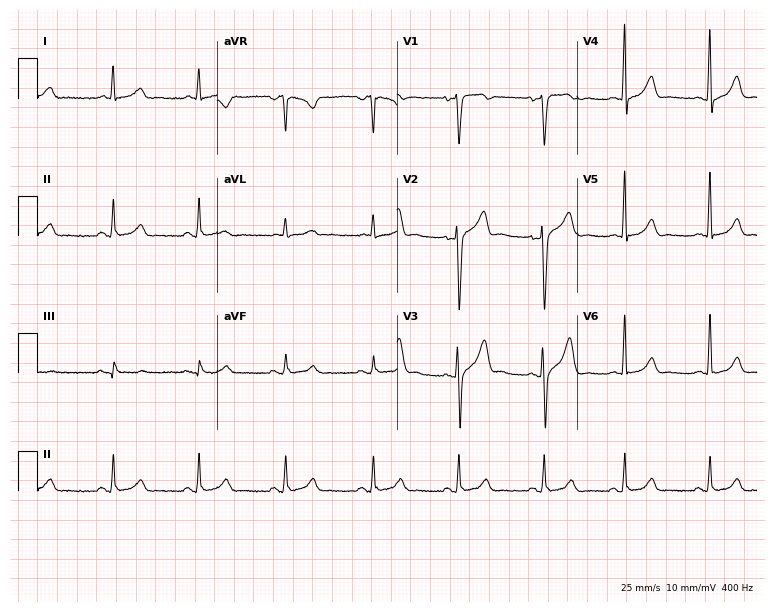
Resting 12-lead electrocardiogram. Patient: a 41-year-old male. Read as a normal ECG.